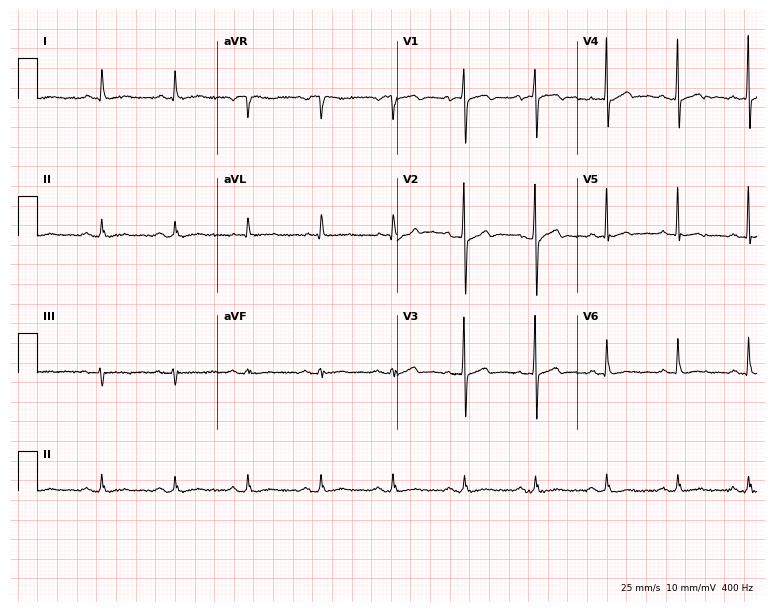
12-lead ECG (7.3-second recording at 400 Hz) from a male, 81 years old. Screened for six findings — first-degree AV block, right bundle branch block, left bundle branch block, sinus bradycardia, atrial fibrillation, sinus tachycardia — none is recorded.